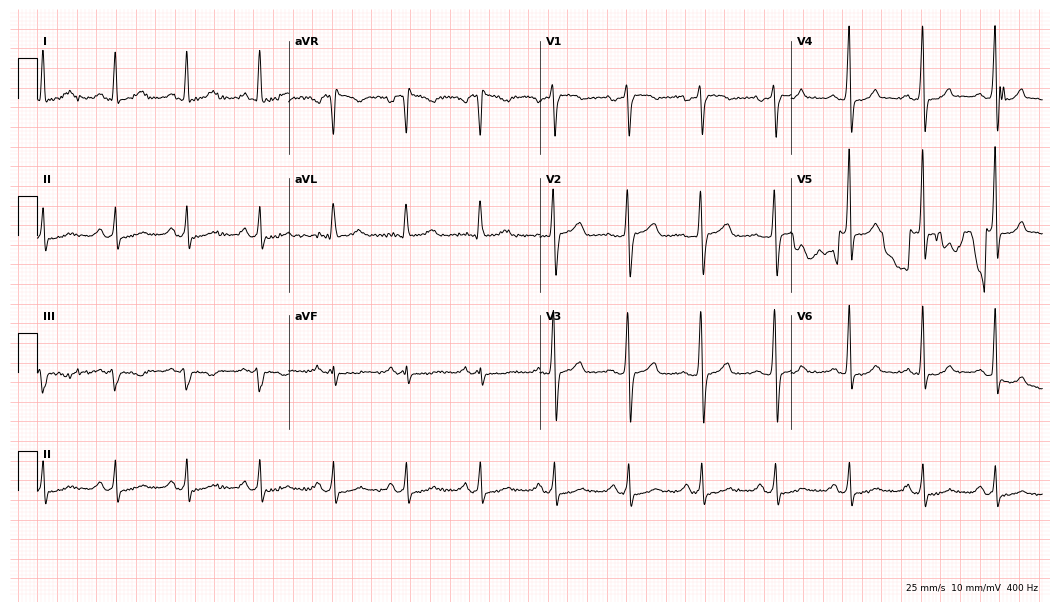
Resting 12-lead electrocardiogram (10.2-second recording at 400 Hz). Patient: a 54-year-old female. None of these six findings is recorded: first-degree AV block, right bundle branch block (RBBB), left bundle branch block (LBBB), sinus bradycardia, atrial fibrillation (AF), sinus tachycardia. Only these six findings were labelled.